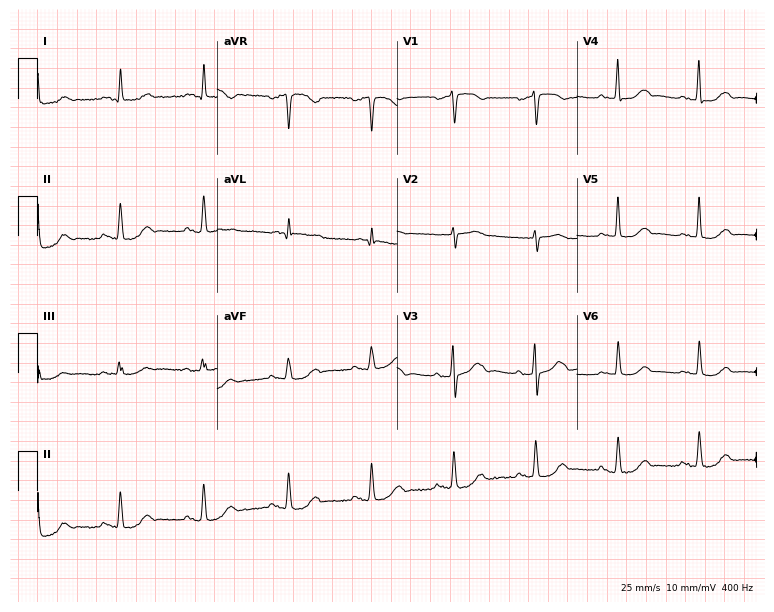
ECG (7.3-second recording at 400 Hz) — a 77-year-old female. Screened for six findings — first-degree AV block, right bundle branch block, left bundle branch block, sinus bradycardia, atrial fibrillation, sinus tachycardia — none is recorded.